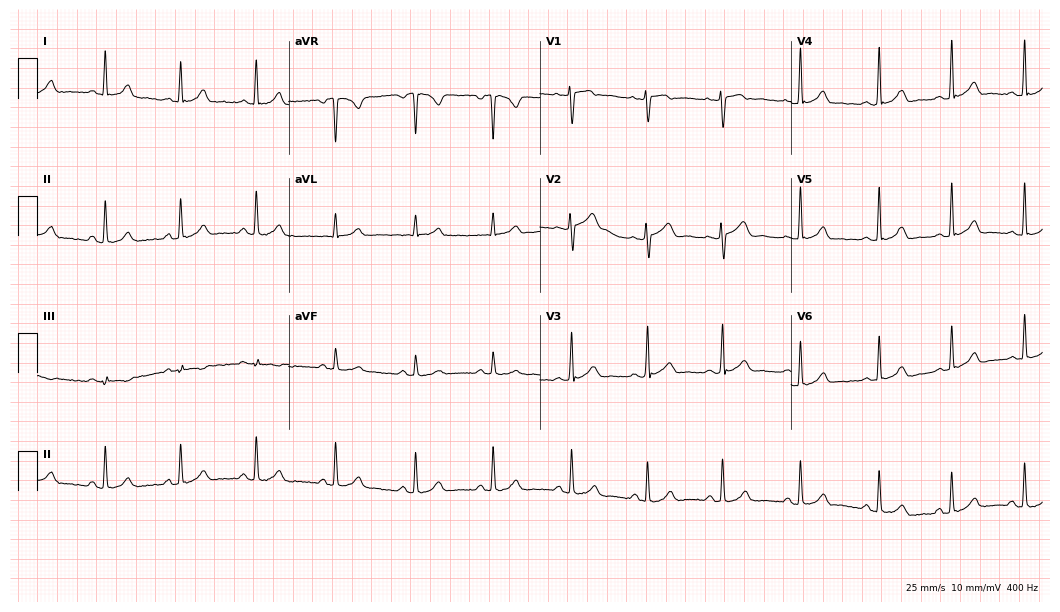
Resting 12-lead electrocardiogram. Patient: a 21-year-old female. None of these six findings is recorded: first-degree AV block, right bundle branch block (RBBB), left bundle branch block (LBBB), sinus bradycardia, atrial fibrillation (AF), sinus tachycardia. Only these six findings were labelled.